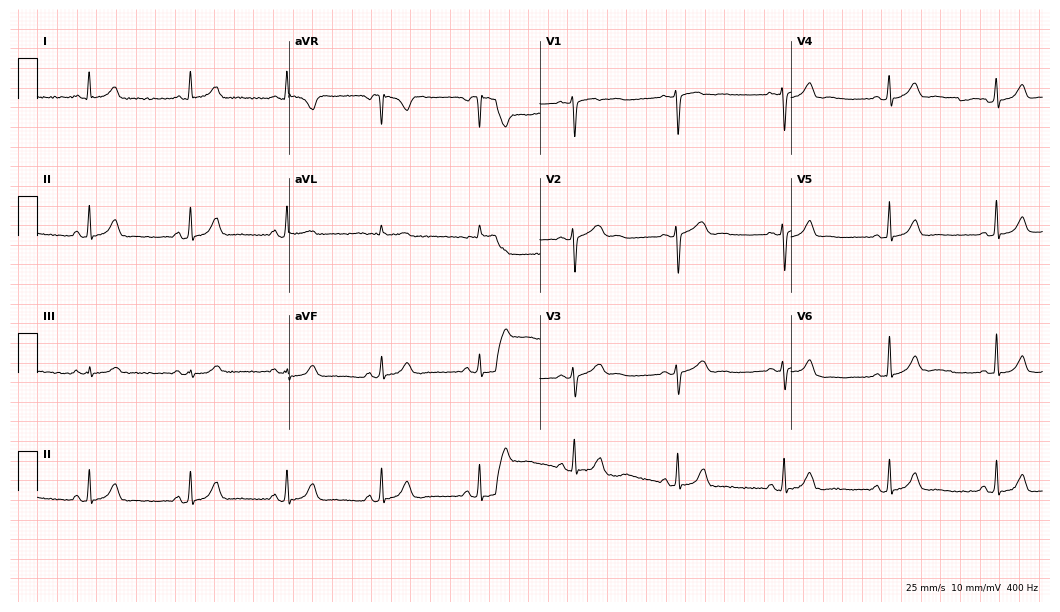
12-lead ECG (10.2-second recording at 400 Hz) from a female, 43 years old. Screened for six findings — first-degree AV block, right bundle branch block, left bundle branch block, sinus bradycardia, atrial fibrillation, sinus tachycardia — none is recorded.